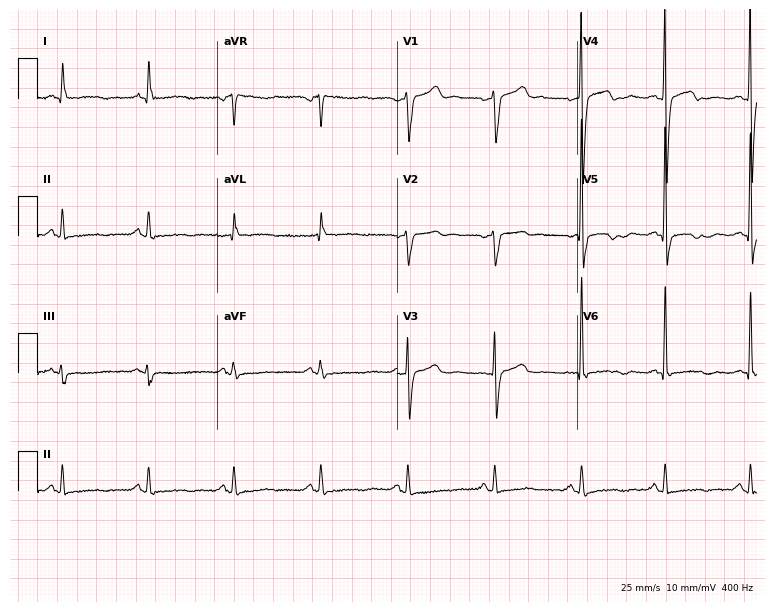
Resting 12-lead electrocardiogram. Patient: a male, 56 years old. None of these six findings is recorded: first-degree AV block, right bundle branch block, left bundle branch block, sinus bradycardia, atrial fibrillation, sinus tachycardia.